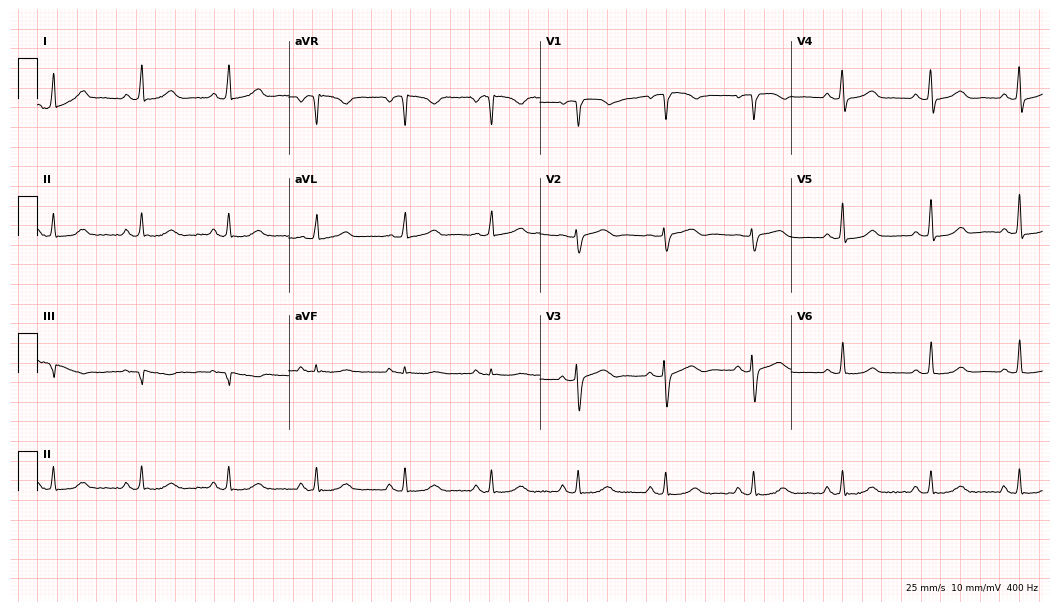
Electrocardiogram, a female patient, 50 years old. Of the six screened findings (first-degree AV block, right bundle branch block, left bundle branch block, sinus bradycardia, atrial fibrillation, sinus tachycardia), none is recorded. Findings outside these six are not listed.